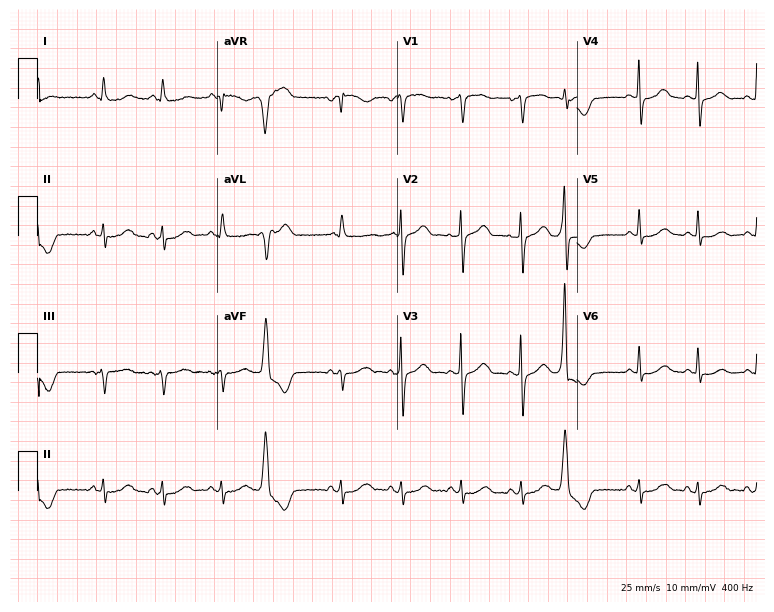
Resting 12-lead electrocardiogram (7.3-second recording at 400 Hz). Patient: an 84-year-old female. None of these six findings is recorded: first-degree AV block, right bundle branch block, left bundle branch block, sinus bradycardia, atrial fibrillation, sinus tachycardia.